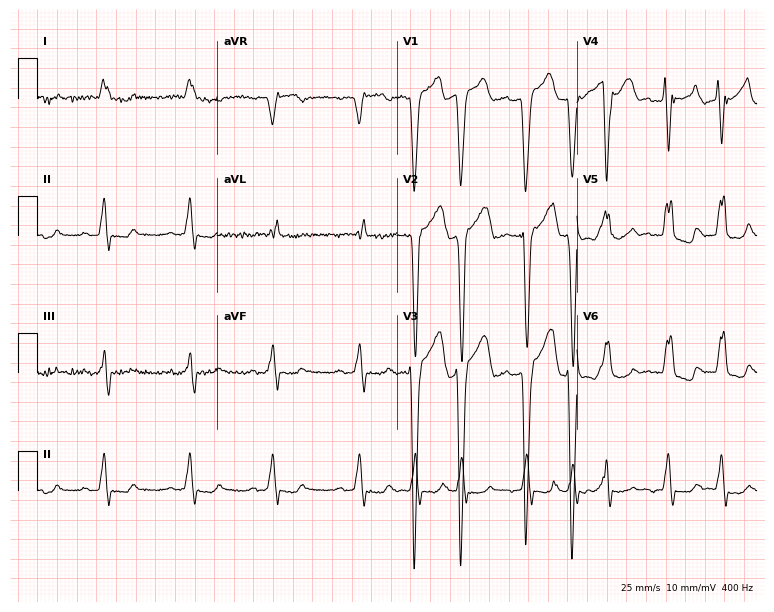
12-lead ECG from a female patient, 72 years old (7.3-second recording at 400 Hz). No first-degree AV block, right bundle branch block, left bundle branch block, sinus bradycardia, atrial fibrillation or sinus tachycardia recorded for this tracing. Only these six findings were labelled.